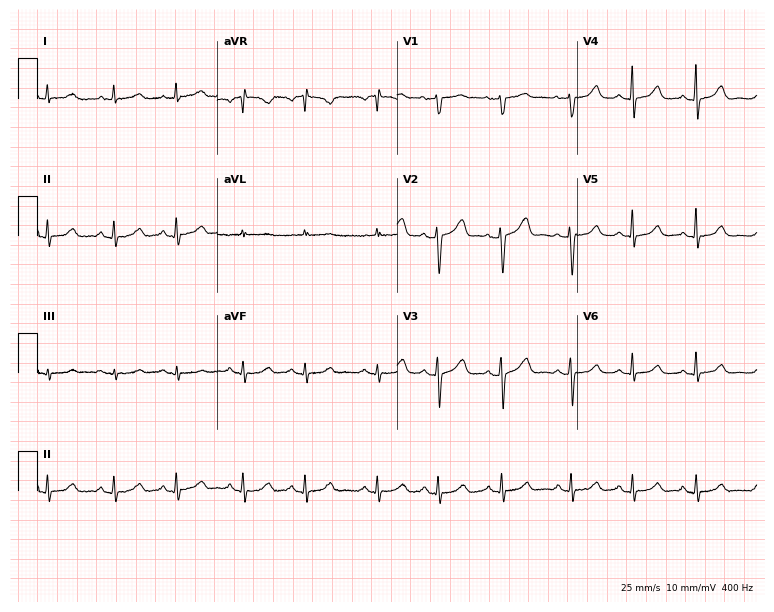
Standard 12-lead ECG recorded from an 83-year-old female patient. Read as a normal ECG.